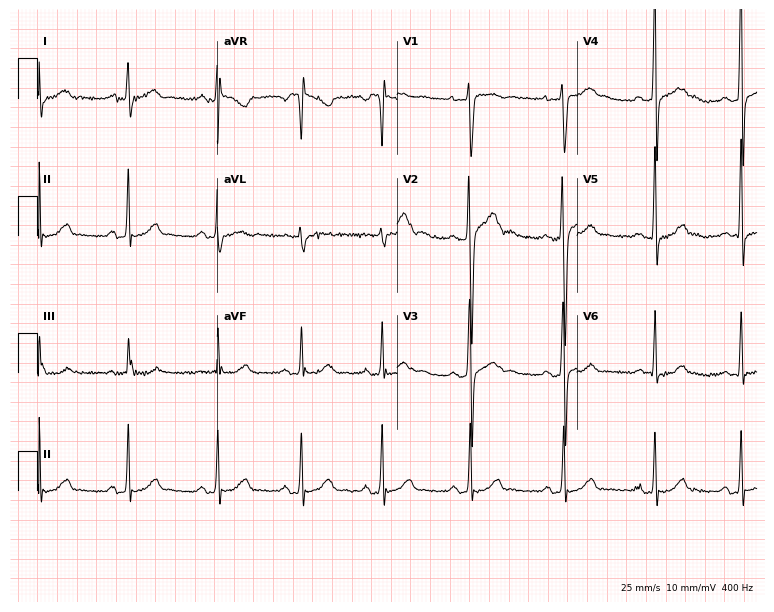
12-lead ECG from a man, 18 years old. Recorded interpretation: within normal limits.